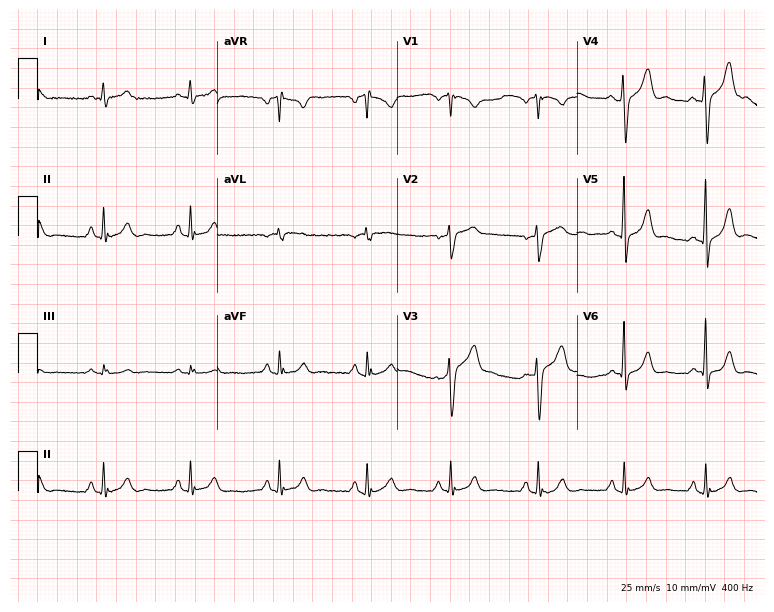
12-lead ECG (7.3-second recording at 400 Hz) from a 66-year-old male. Screened for six findings — first-degree AV block, right bundle branch block, left bundle branch block, sinus bradycardia, atrial fibrillation, sinus tachycardia — none is recorded.